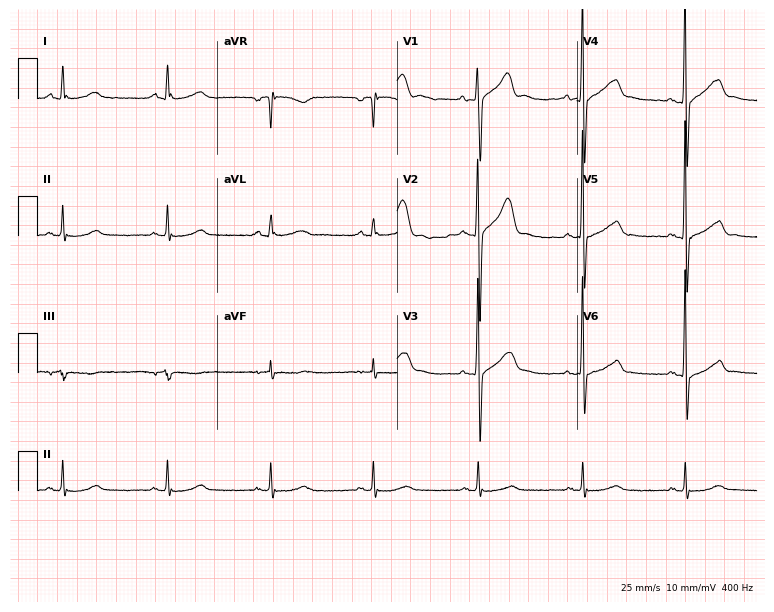
12-lead ECG from a male patient, 58 years old (7.3-second recording at 400 Hz). No first-degree AV block, right bundle branch block, left bundle branch block, sinus bradycardia, atrial fibrillation or sinus tachycardia recorded for this tracing. Other findings, if any, are not listed.